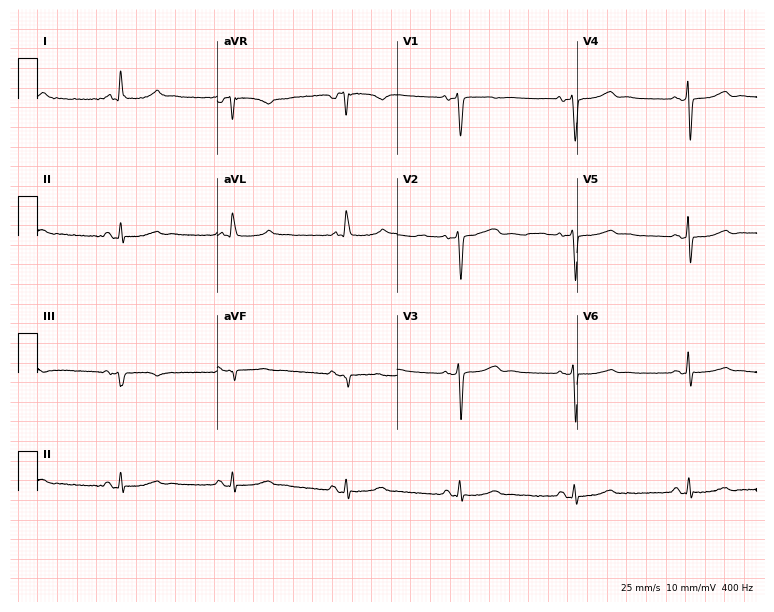
Standard 12-lead ECG recorded from a female, 76 years old. None of these six findings is recorded: first-degree AV block, right bundle branch block (RBBB), left bundle branch block (LBBB), sinus bradycardia, atrial fibrillation (AF), sinus tachycardia.